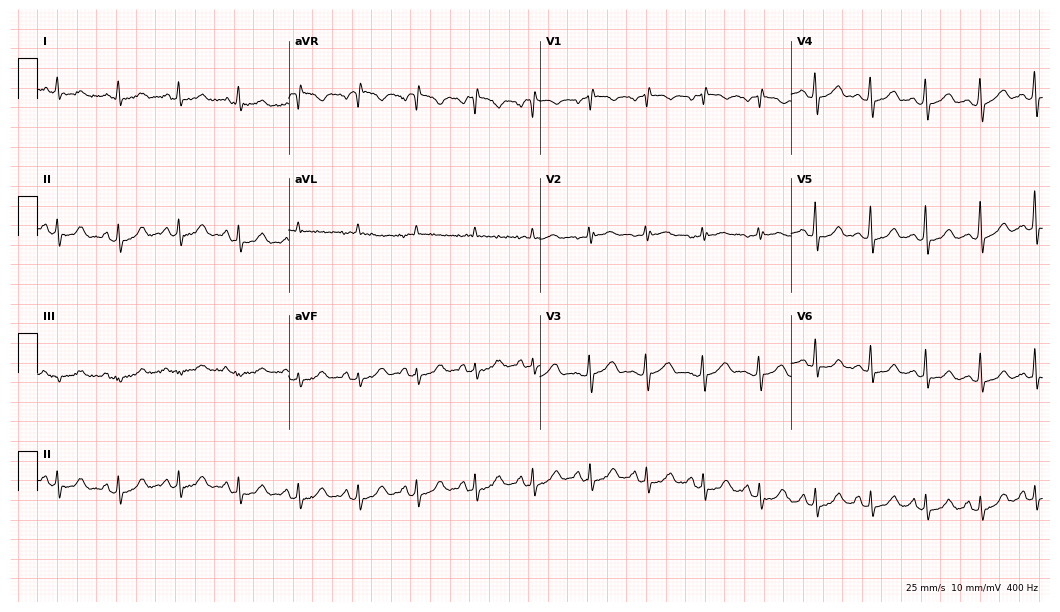
12-lead ECG from a 45-year-old female. Shows sinus tachycardia (a sinus rate of 100 beats per minute or more).